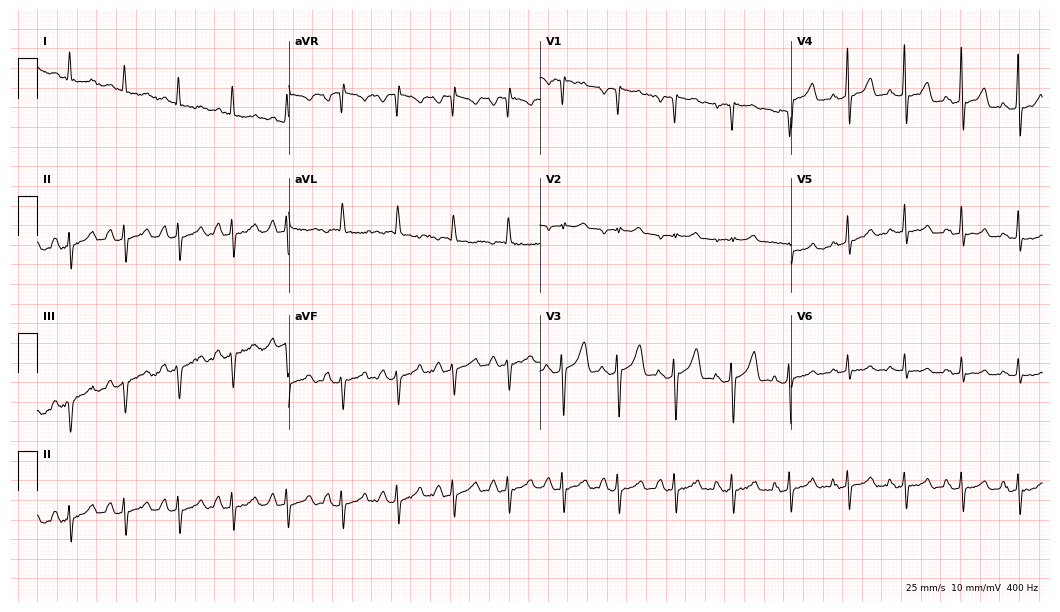
Standard 12-lead ECG recorded from a 56-year-old woman (10.2-second recording at 400 Hz). None of these six findings is recorded: first-degree AV block, right bundle branch block (RBBB), left bundle branch block (LBBB), sinus bradycardia, atrial fibrillation (AF), sinus tachycardia. Findings outside these six are not listed.